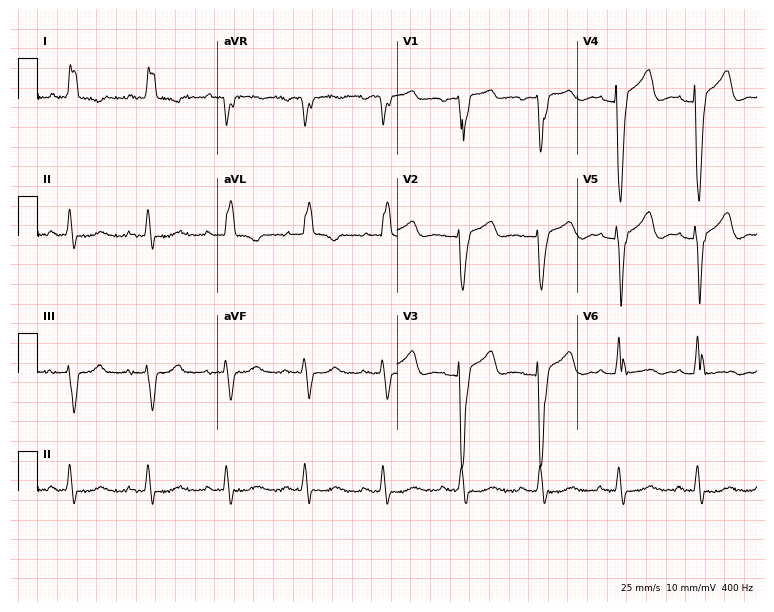
Standard 12-lead ECG recorded from a 66-year-old female patient (7.3-second recording at 400 Hz). The tracing shows left bundle branch block.